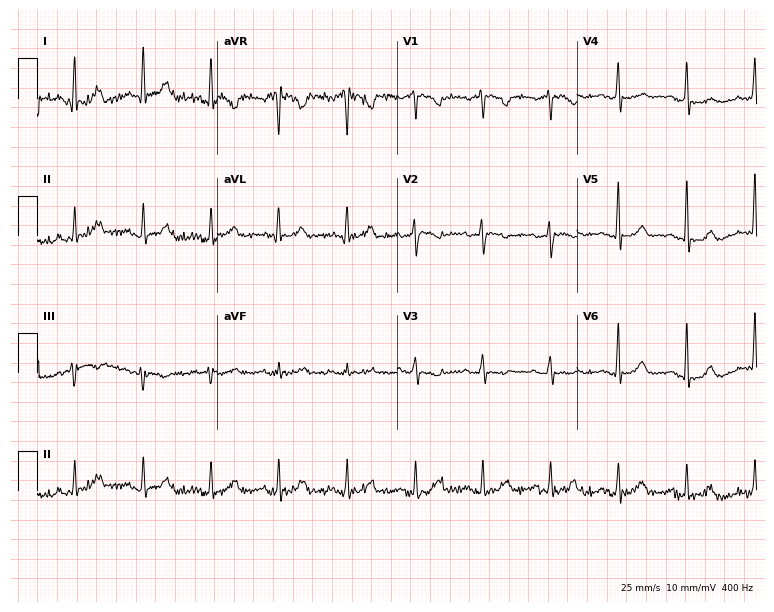
12-lead ECG from a 46-year-old female. Screened for six findings — first-degree AV block, right bundle branch block, left bundle branch block, sinus bradycardia, atrial fibrillation, sinus tachycardia — none is recorded.